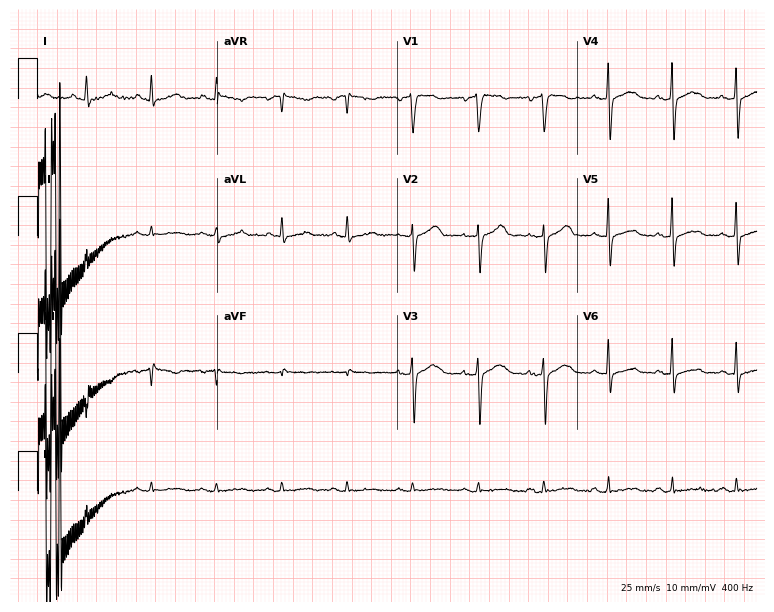
Resting 12-lead electrocardiogram (7.3-second recording at 400 Hz). Patient: a female, 55 years old. None of these six findings is recorded: first-degree AV block, right bundle branch block, left bundle branch block, sinus bradycardia, atrial fibrillation, sinus tachycardia. Findings outside these six are not listed.